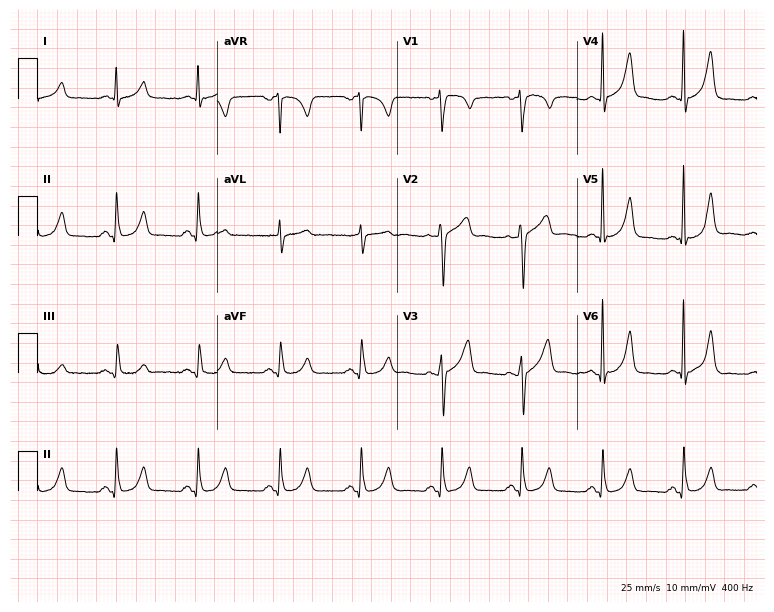
12-lead ECG from a male, 51 years old. Recorded interpretation: within normal limits.